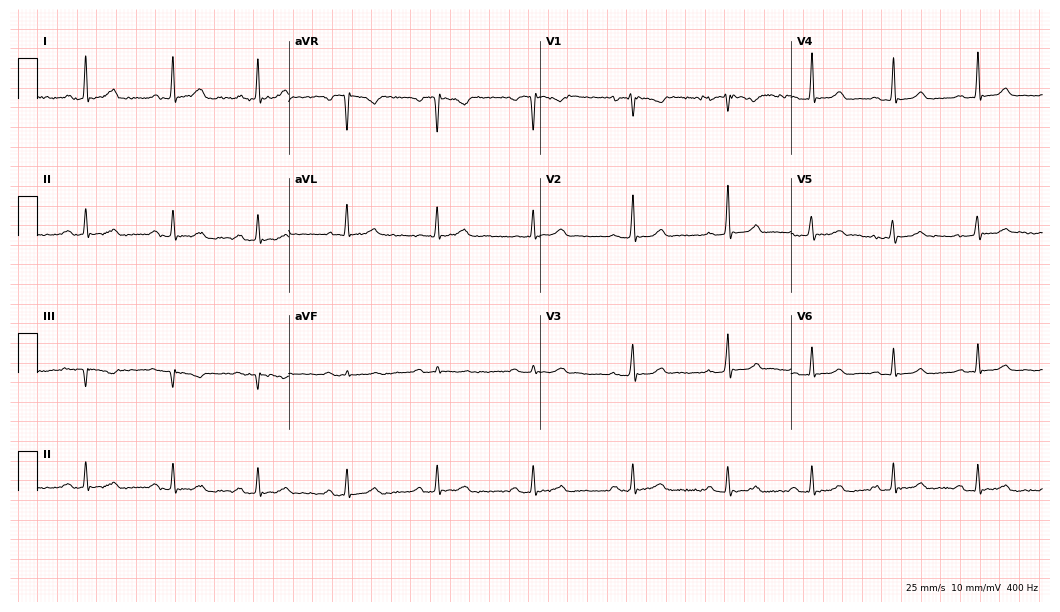
Resting 12-lead electrocardiogram (10.2-second recording at 400 Hz). Patient: a 67-year-old man. Read as a normal ECG.